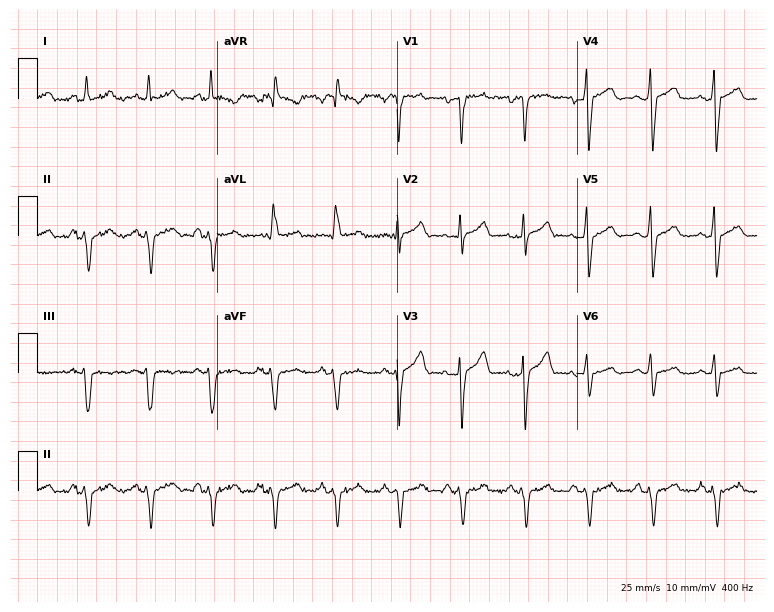
Standard 12-lead ECG recorded from a 56-year-old male. None of these six findings is recorded: first-degree AV block, right bundle branch block, left bundle branch block, sinus bradycardia, atrial fibrillation, sinus tachycardia.